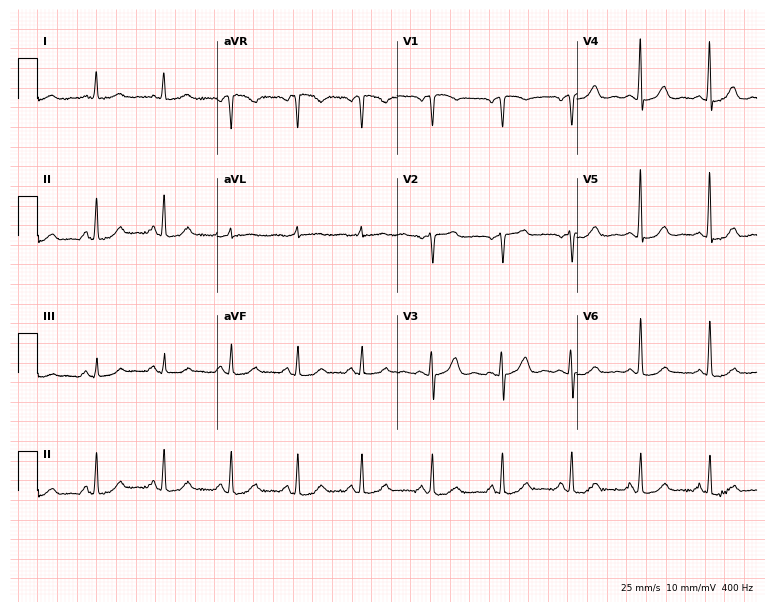
Standard 12-lead ECG recorded from a 67-year-old woman (7.3-second recording at 400 Hz). Read as a normal ECG.